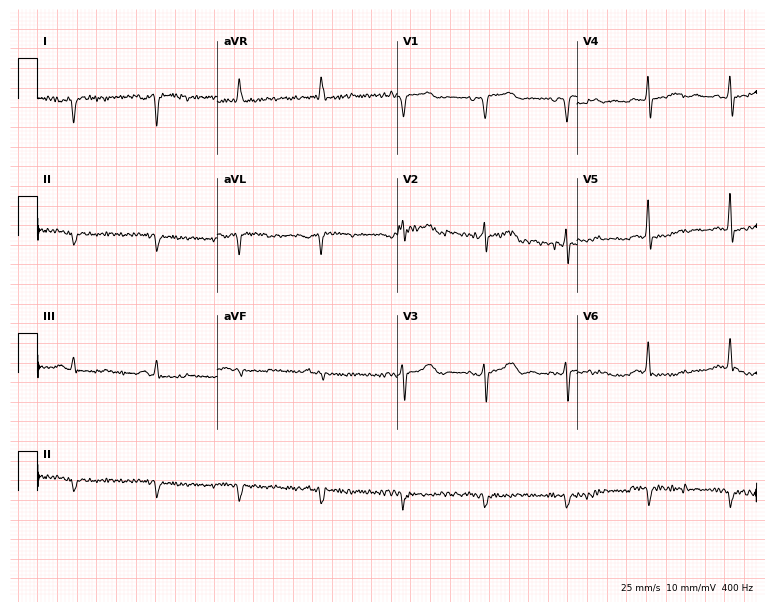
Standard 12-lead ECG recorded from a male patient, 83 years old. None of these six findings is recorded: first-degree AV block, right bundle branch block, left bundle branch block, sinus bradycardia, atrial fibrillation, sinus tachycardia.